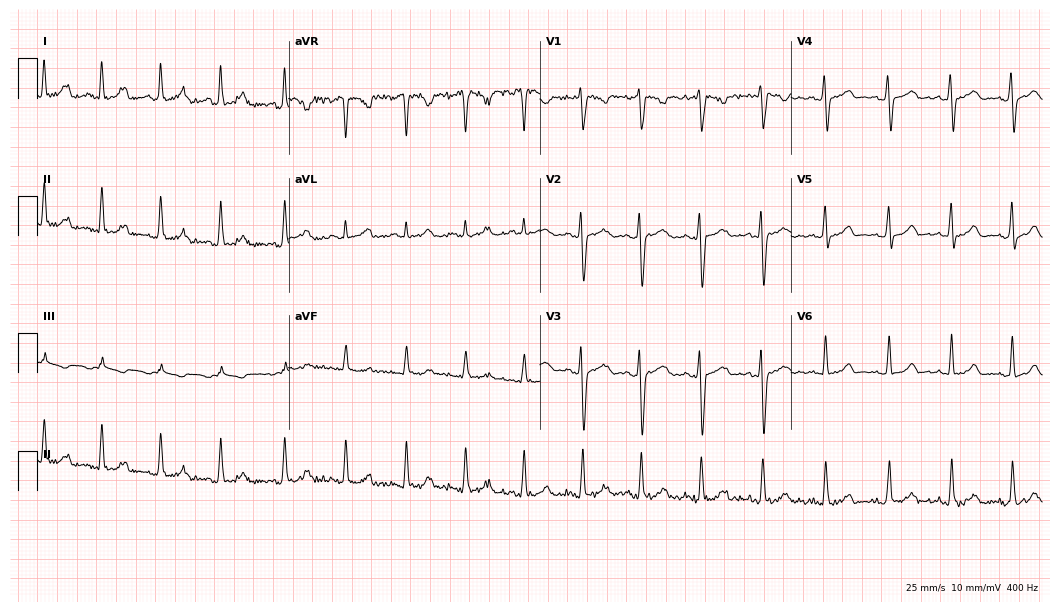
Resting 12-lead electrocardiogram (10.2-second recording at 400 Hz). Patient: a 19-year-old female. Read as a normal ECG.